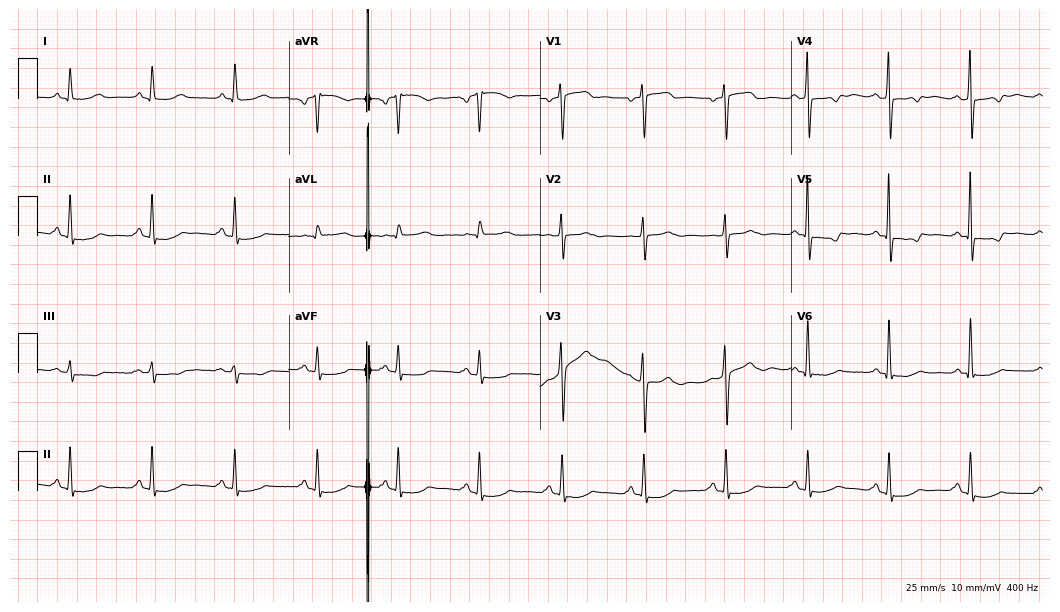
Electrocardiogram (10.2-second recording at 400 Hz), a female patient, 64 years old. Of the six screened findings (first-degree AV block, right bundle branch block, left bundle branch block, sinus bradycardia, atrial fibrillation, sinus tachycardia), none is recorded.